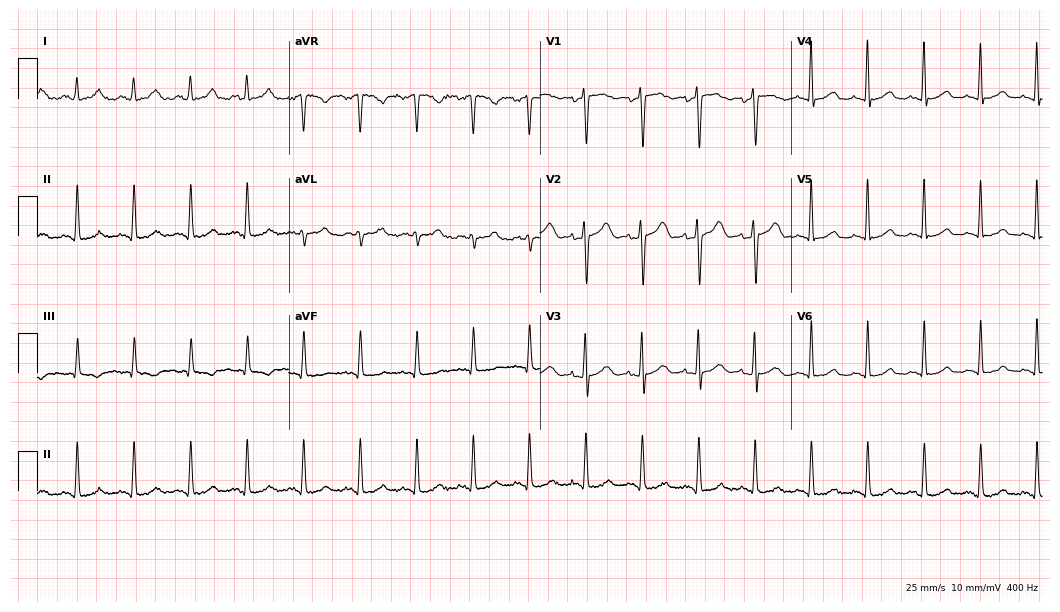
12-lead ECG (10.2-second recording at 400 Hz) from a female, 42 years old. Findings include sinus tachycardia (a sinus rate of 100 beats per minute or more).